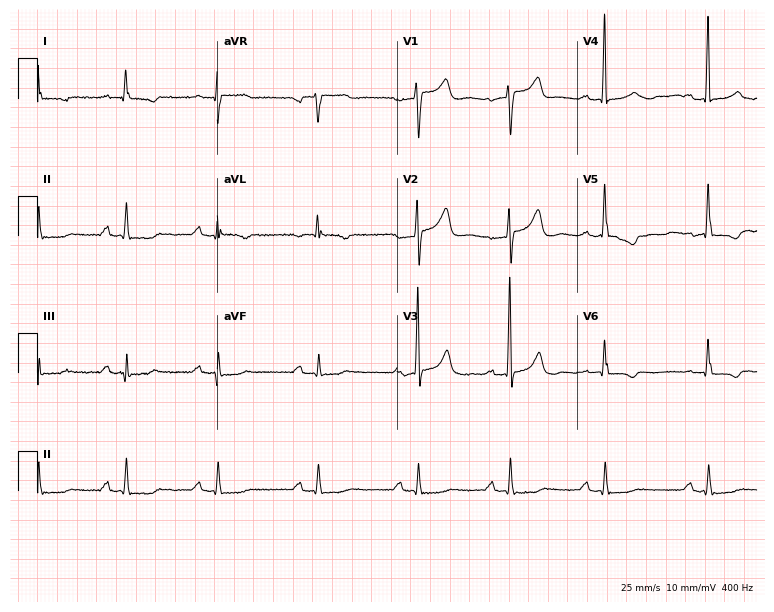
12-lead ECG from a female, 73 years old. Findings include first-degree AV block.